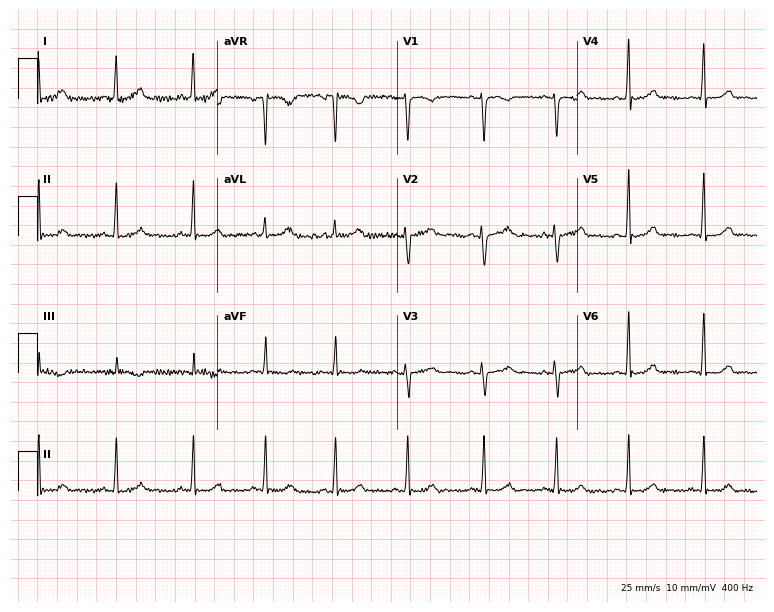
ECG (7.3-second recording at 400 Hz) — a woman, 27 years old. Labelled as a normal ECG.